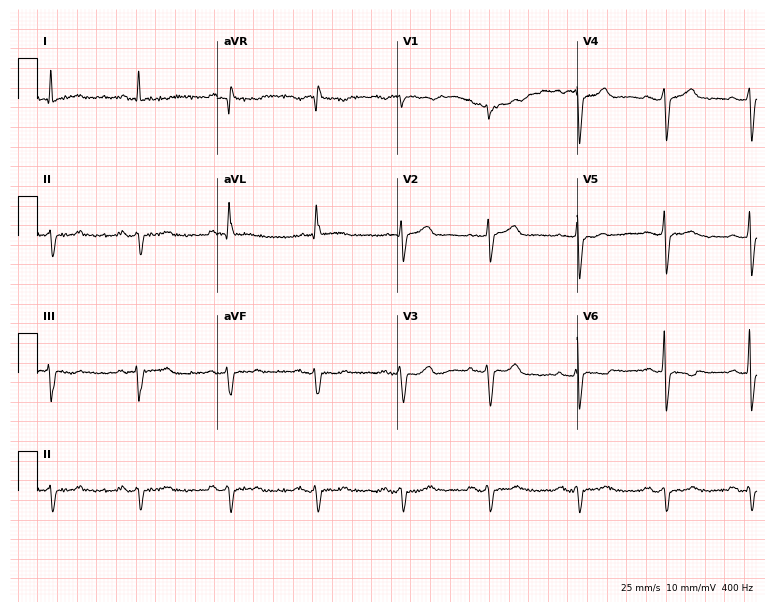
ECG (7.3-second recording at 400 Hz) — a male, 56 years old. Screened for six findings — first-degree AV block, right bundle branch block, left bundle branch block, sinus bradycardia, atrial fibrillation, sinus tachycardia — none is recorded.